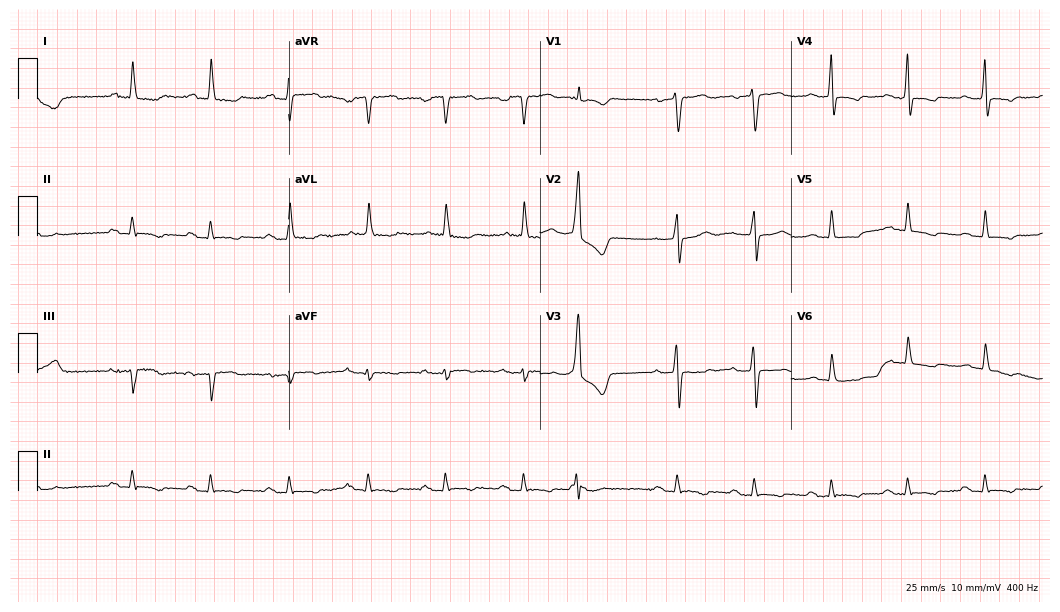
Resting 12-lead electrocardiogram. Patient: a 77-year-old female. Read as a normal ECG.